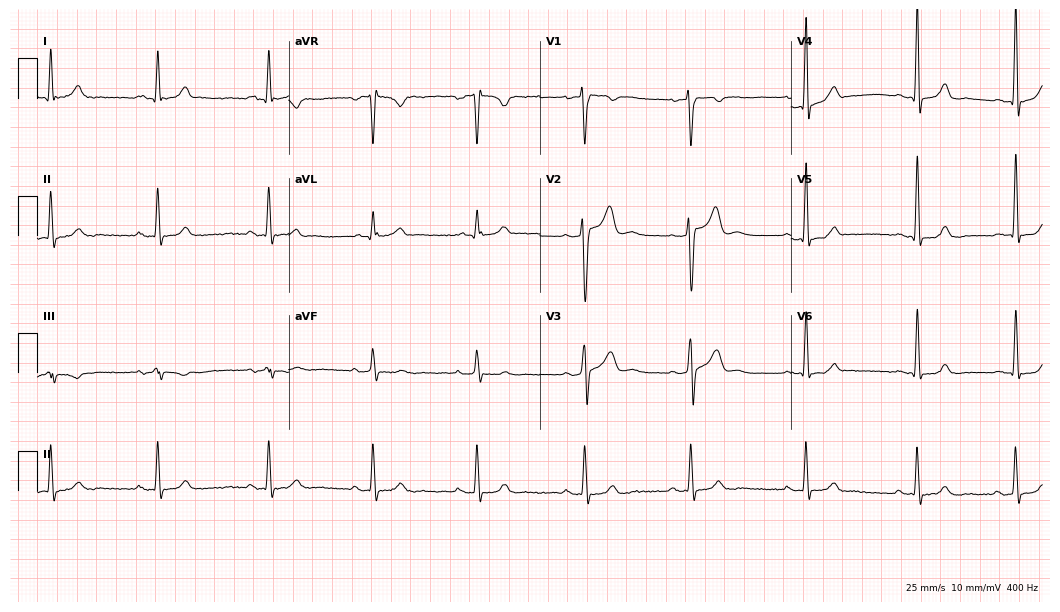
ECG — a 28-year-old male. Screened for six findings — first-degree AV block, right bundle branch block, left bundle branch block, sinus bradycardia, atrial fibrillation, sinus tachycardia — none is recorded. Only these six findings were labelled.